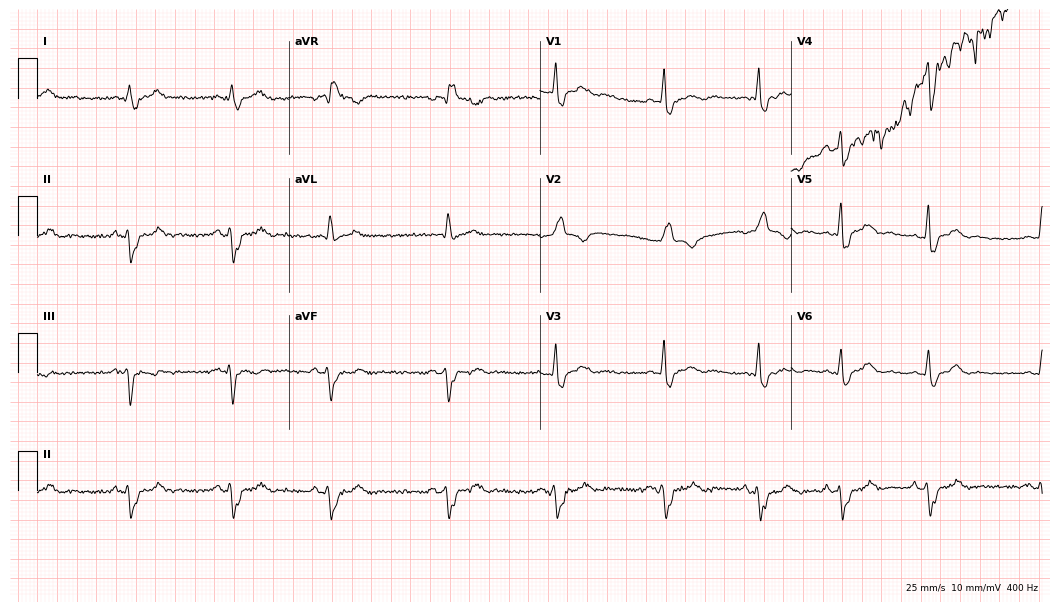
ECG (10.2-second recording at 400 Hz) — a 62-year-old male patient. Screened for six findings — first-degree AV block, right bundle branch block, left bundle branch block, sinus bradycardia, atrial fibrillation, sinus tachycardia — none is recorded. Findings outside these six are not listed.